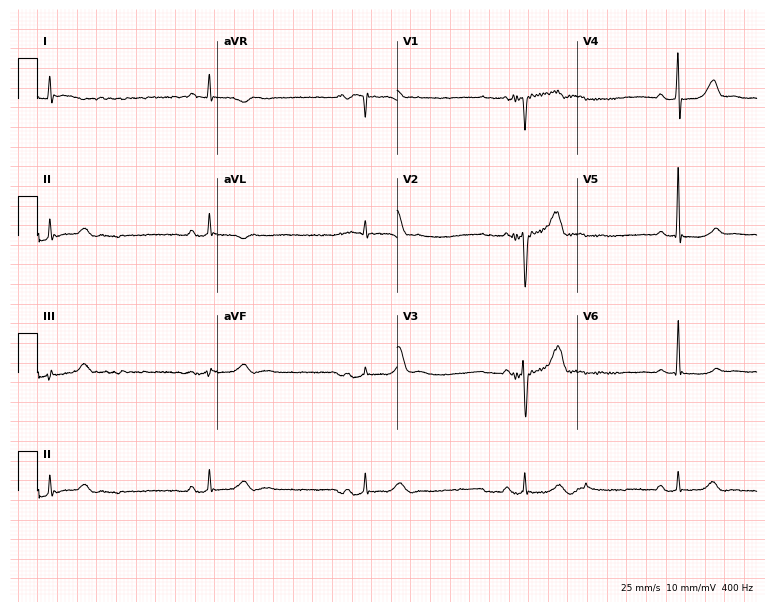
Resting 12-lead electrocardiogram (7.3-second recording at 400 Hz). Patient: a man, 65 years old. The tracing shows sinus bradycardia (a sinus rate of 50 beats per minute or less).